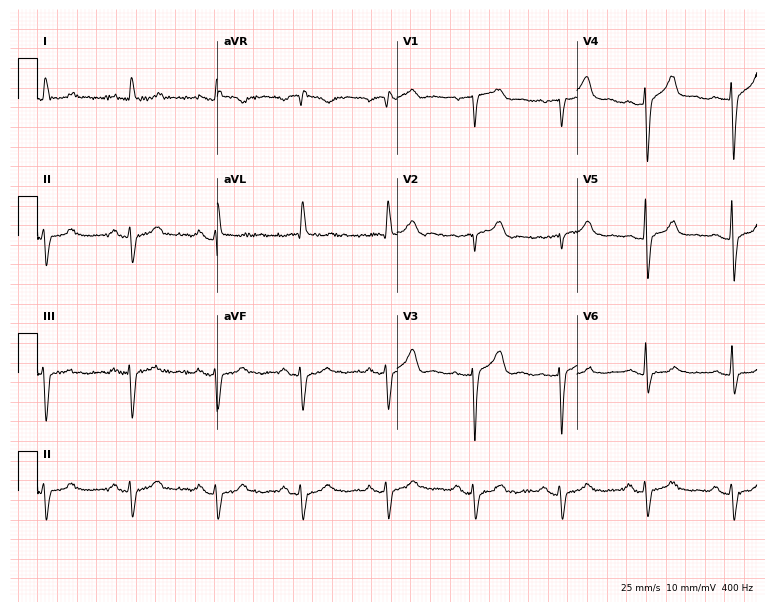
12-lead ECG from an 84-year-old man (7.3-second recording at 400 Hz). No first-degree AV block, right bundle branch block, left bundle branch block, sinus bradycardia, atrial fibrillation or sinus tachycardia recorded for this tracing.